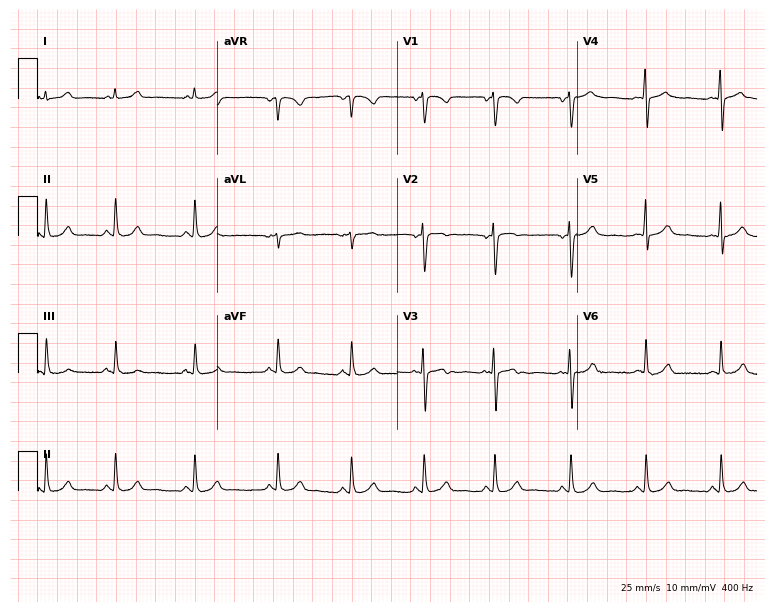
12-lead ECG from a 22-year-old female. Recorded interpretation: within normal limits.